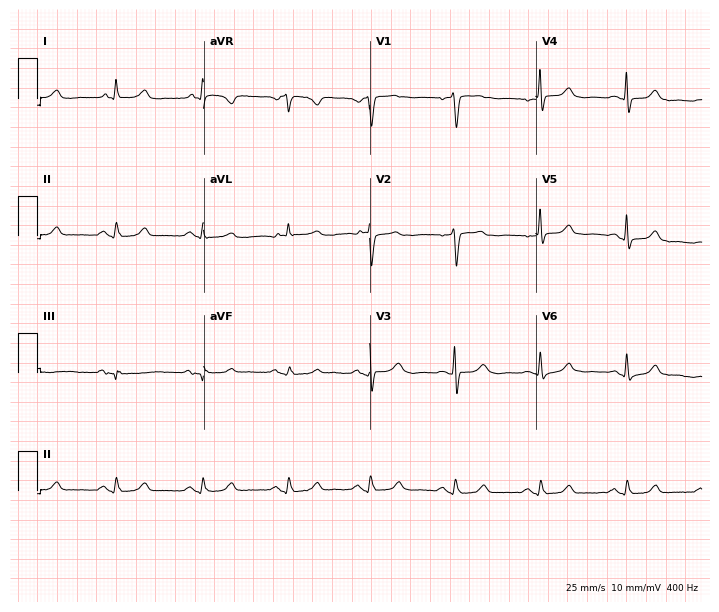
ECG — a woman, 80 years old. Labelled as a normal ECG.